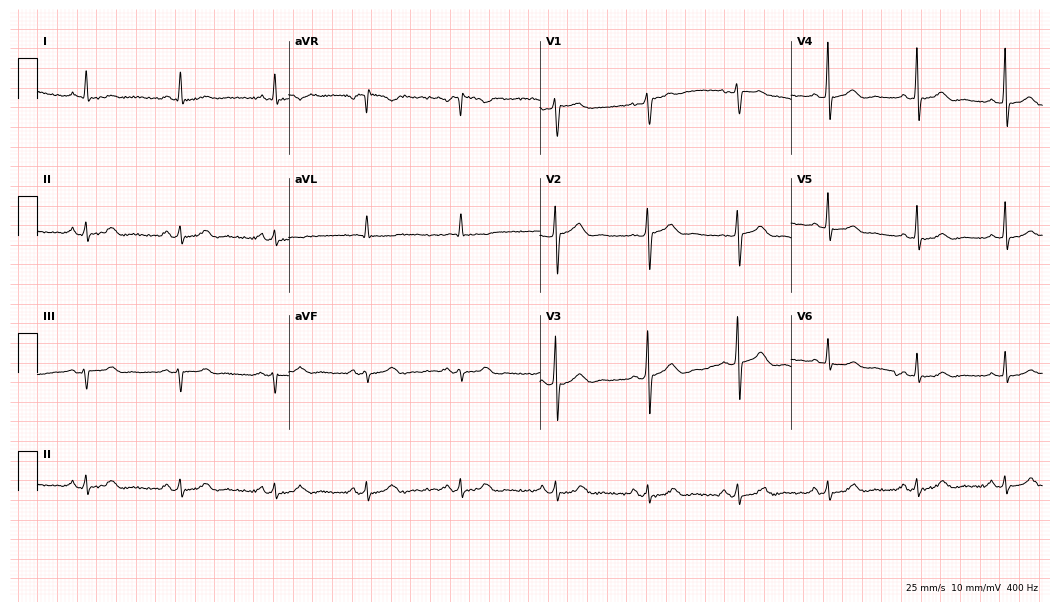
12-lead ECG (10.2-second recording at 400 Hz) from a man, 60 years old. Screened for six findings — first-degree AV block, right bundle branch block (RBBB), left bundle branch block (LBBB), sinus bradycardia, atrial fibrillation (AF), sinus tachycardia — none is recorded.